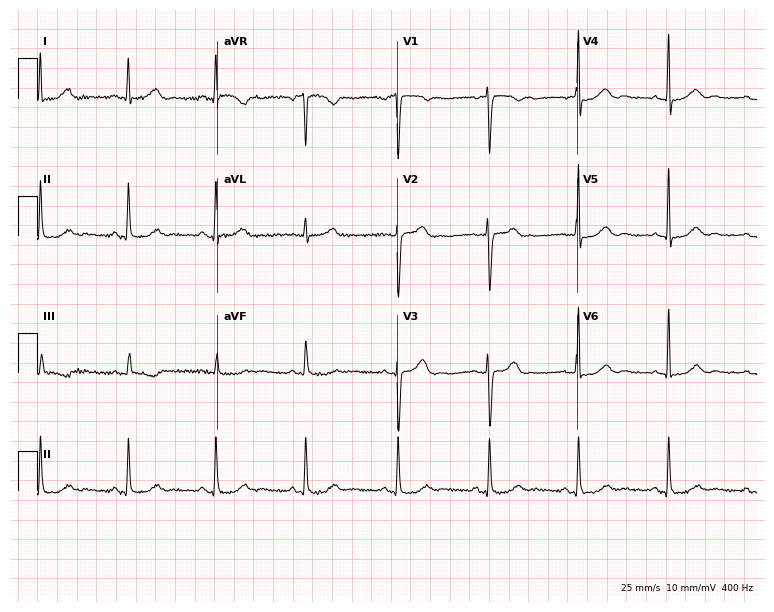
ECG (7.3-second recording at 400 Hz) — a 43-year-old female patient. Labelled as a normal ECG.